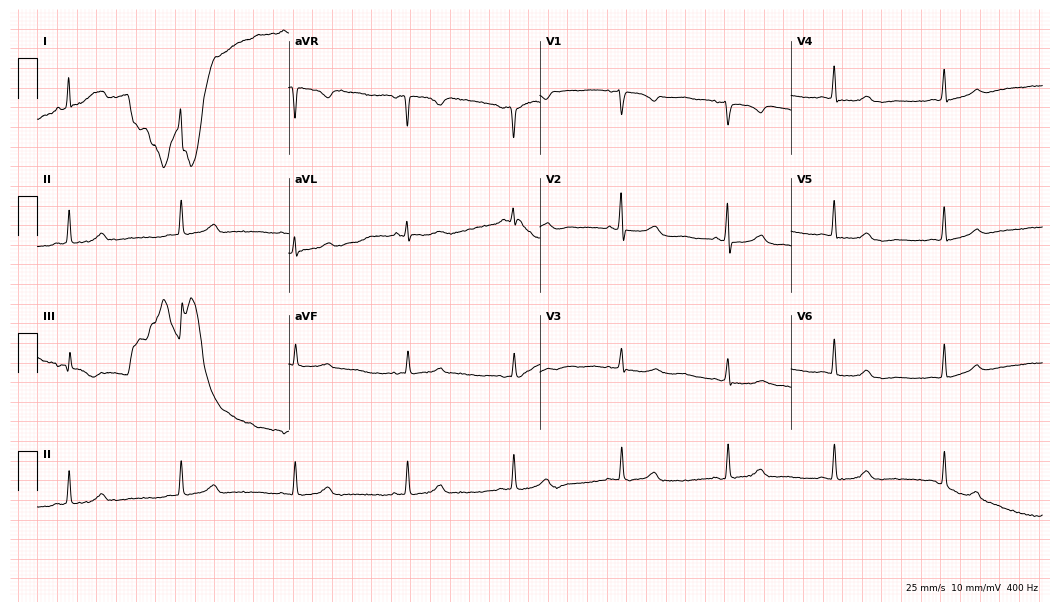
Resting 12-lead electrocardiogram. Patient: a 50-year-old woman. None of these six findings is recorded: first-degree AV block, right bundle branch block (RBBB), left bundle branch block (LBBB), sinus bradycardia, atrial fibrillation (AF), sinus tachycardia.